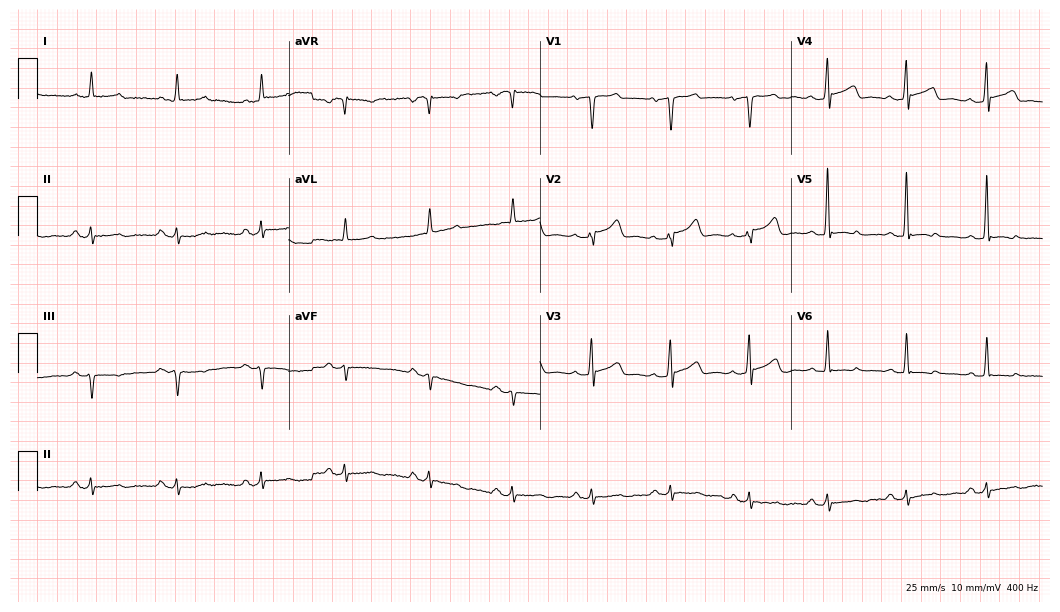
12-lead ECG (10.2-second recording at 400 Hz) from a 55-year-old male. Screened for six findings — first-degree AV block, right bundle branch block, left bundle branch block, sinus bradycardia, atrial fibrillation, sinus tachycardia — none is recorded. Only these six findings were labelled.